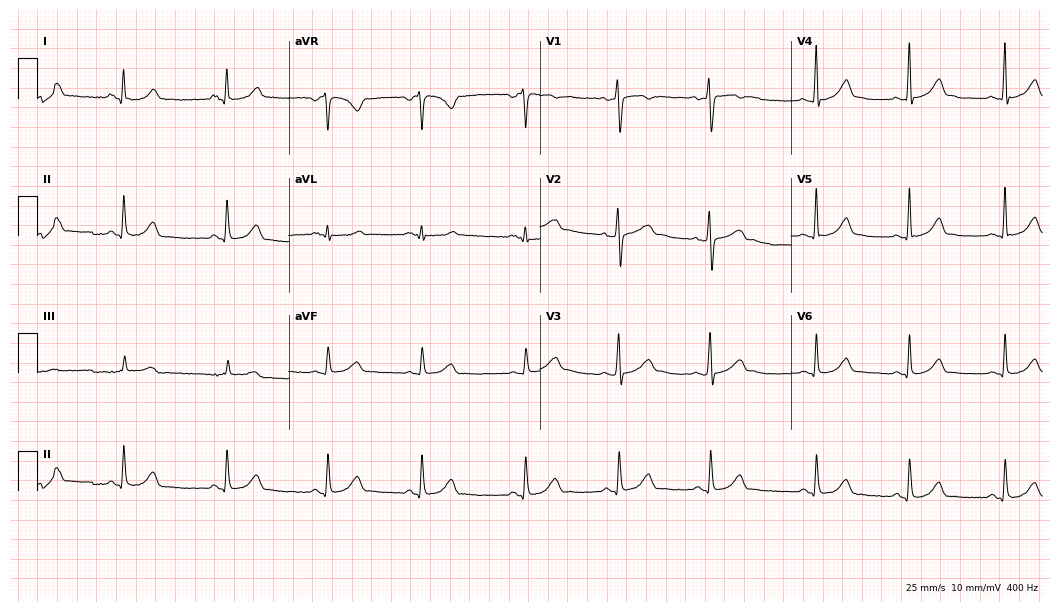
12-lead ECG from a female, 17 years old. Recorded interpretation: within normal limits.